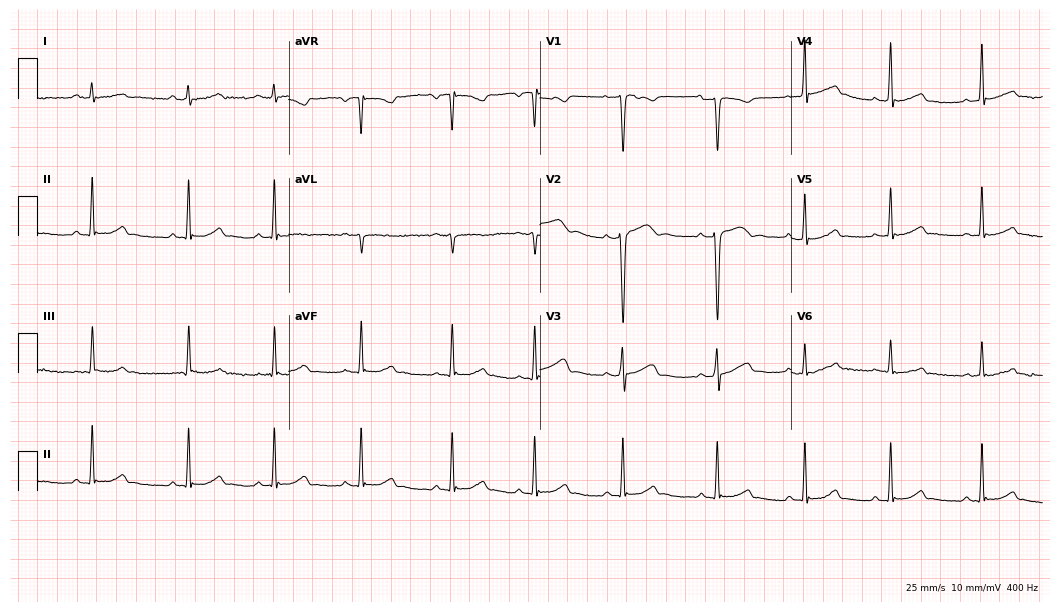
12-lead ECG (10.2-second recording at 400 Hz) from a female patient, 23 years old. Labelled as a normal ECG.